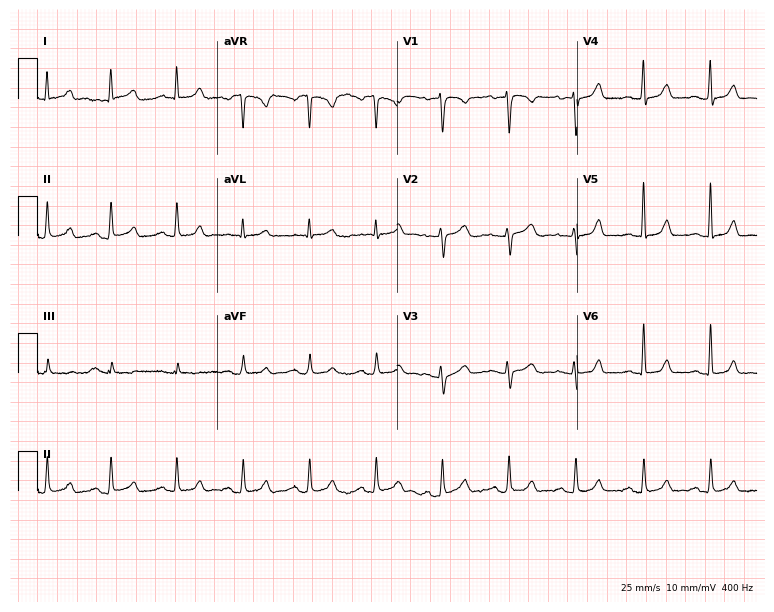
Resting 12-lead electrocardiogram. Patient: a 42-year-old female. Read as a normal ECG.